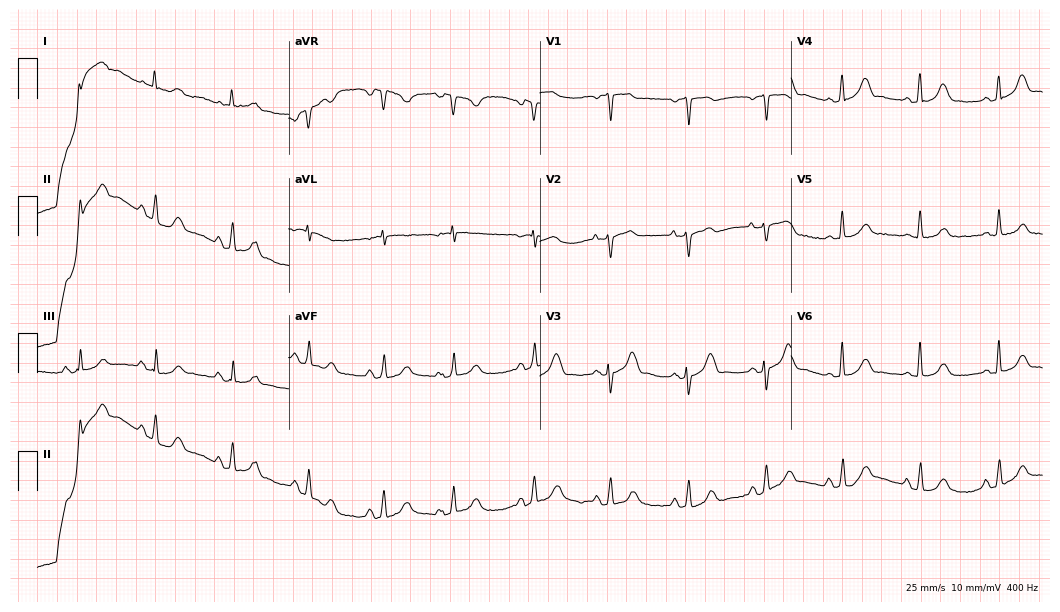
12-lead ECG from a woman, 76 years old. Screened for six findings — first-degree AV block, right bundle branch block, left bundle branch block, sinus bradycardia, atrial fibrillation, sinus tachycardia — none is recorded.